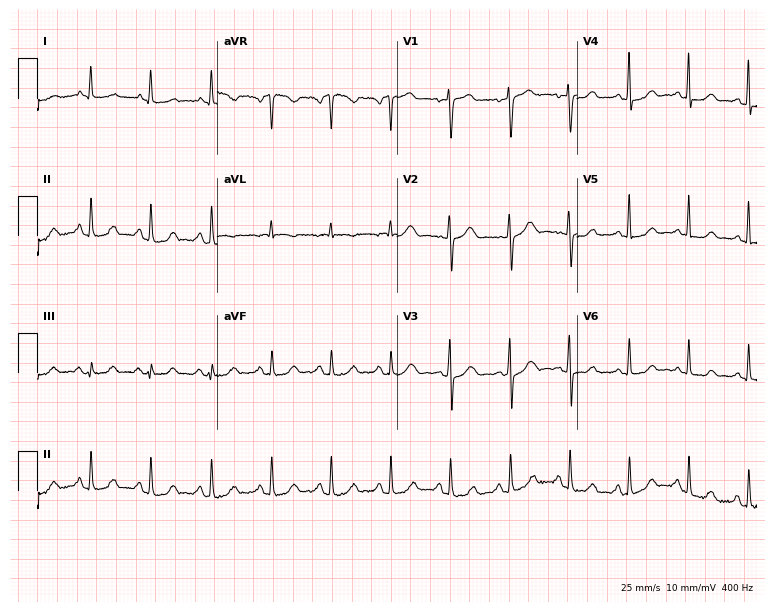
Standard 12-lead ECG recorded from a female, 52 years old. Read as a normal ECG.